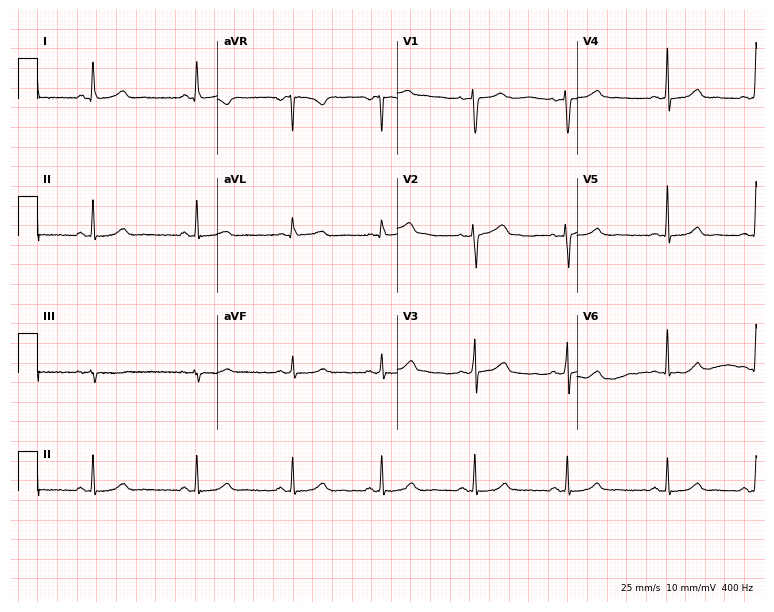
12-lead ECG from a woman, 43 years old (7.3-second recording at 400 Hz). Recorded interpretation: within normal limits.